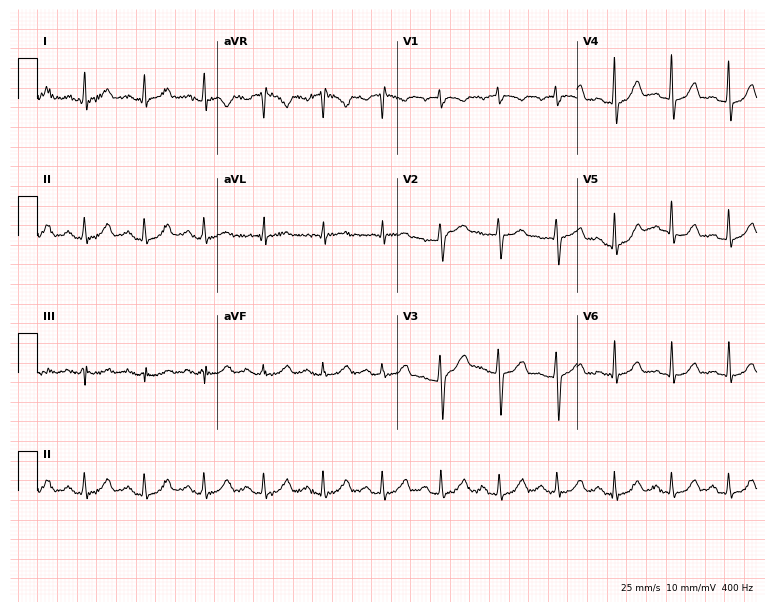
Resting 12-lead electrocardiogram. Patient: a 57-year-old man. Read as a normal ECG.